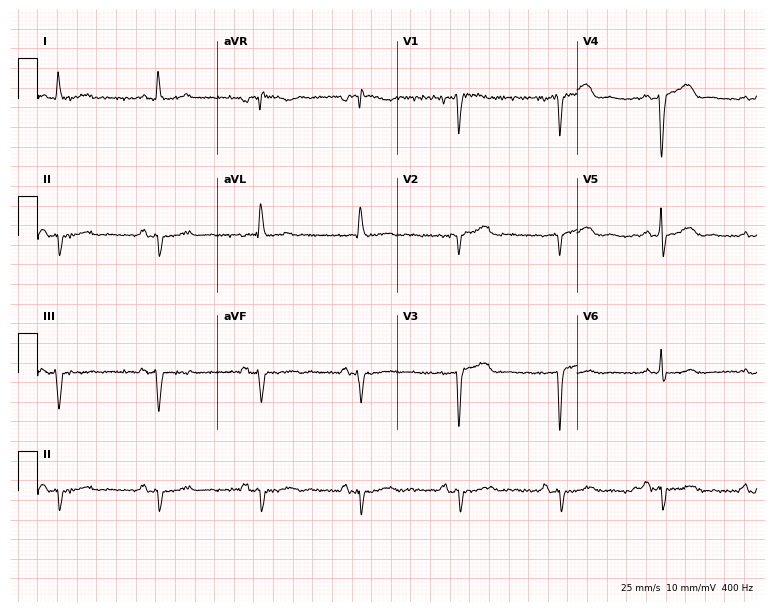
12-lead ECG (7.3-second recording at 400 Hz) from a female patient, 77 years old. Screened for six findings — first-degree AV block, right bundle branch block, left bundle branch block, sinus bradycardia, atrial fibrillation, sinus tachycardia — none is recorded. Only these six findings were labelled.